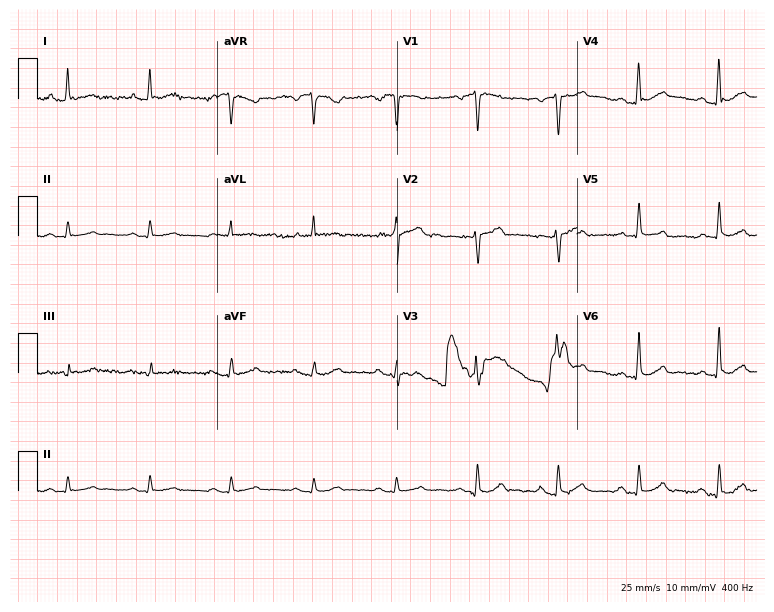
Standard 12-lead ECG recorded from a male, 50 years old (7.3-second recording at 400 Hz). None of these six findings is recorded: first-degree AV block, right bundle branch block (RBBB), left bundle branch block (LBBB), sinus bradycardia, atrial fibrillation (AF), sinus tachycardia.